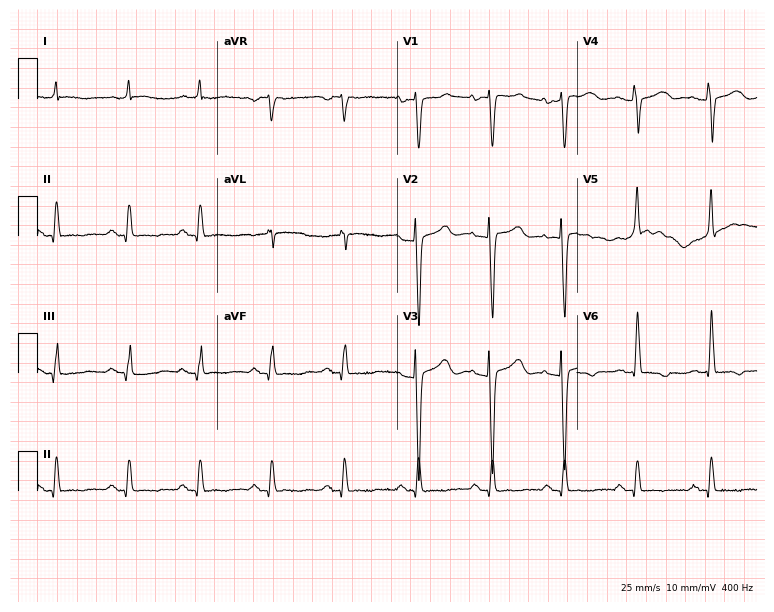
ECG (7.3-second recording at 400 Hz) — a 74-year-old man. Screened for six findings — first-degree AV block, right bundle branch block, left bundle branch block, sinus bradycardia, atrial fibrillation, sinus tachycardia — none is recorded. Other findings, if any, are not listed.